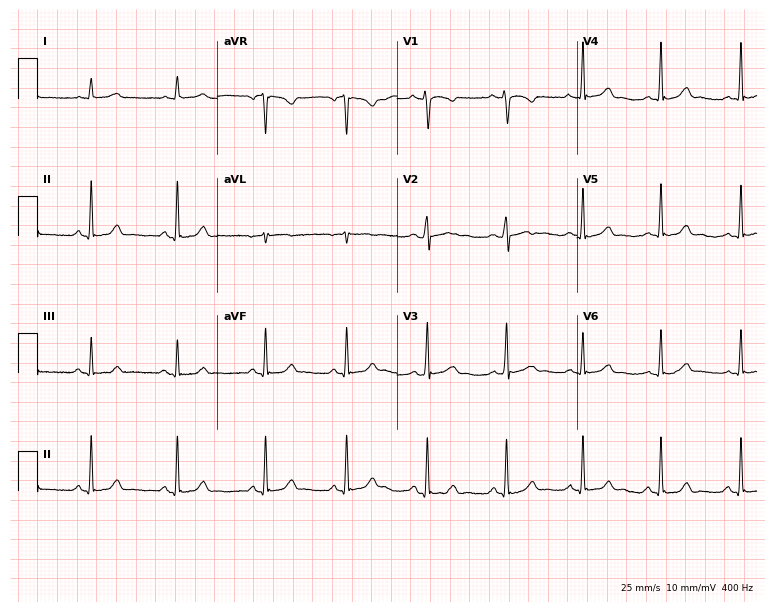
Standard 12-lead ECG recorded from a female, 38 years old. None of these six findings is recorded: first-degree AV block, right bundle branch block (RBBB), left bundle branch block (LBBB), sinus bradycardia, atrial fibrillation (AF), sinus tachycardia. Other findings, if any, are not listed.